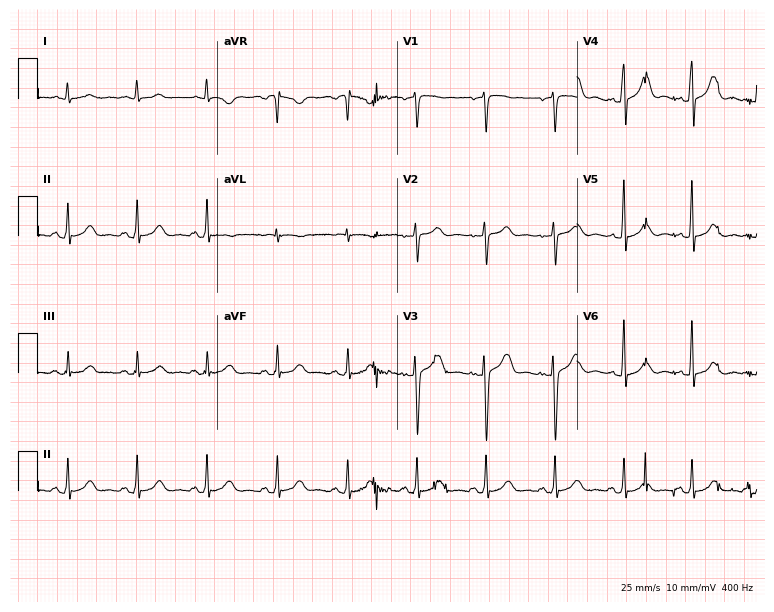
Standard 12-lead ECG recorded from a 38-year-old woman. Read as a normal ECG.